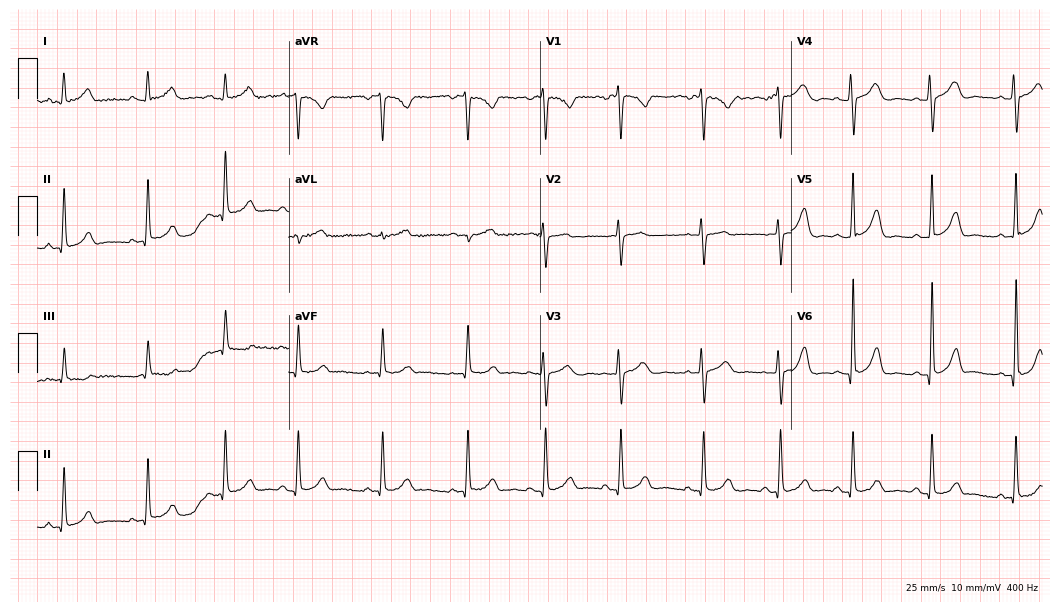
Resting 12-lead electrocardiogram. Patient: a woman, 20 years old. Read as a normal ECG.